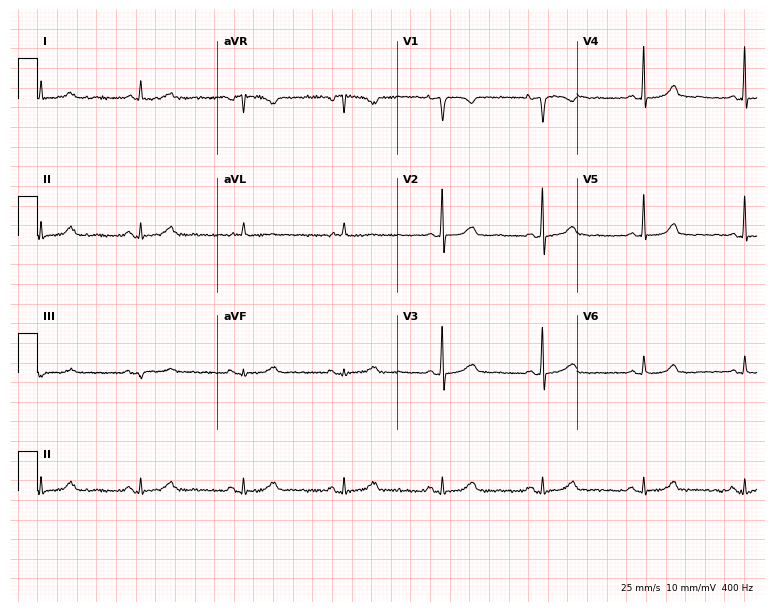
12-lead ECG from a woman, 72 years old (7.3-second recording at 400 Hz). No first-degree AV block, right bundle branch block, left bundle branch block, sinus bradycardia, atrial fibrillation or sinus tachycardia recorded for this tracing. Other findings, if any, are not listed.